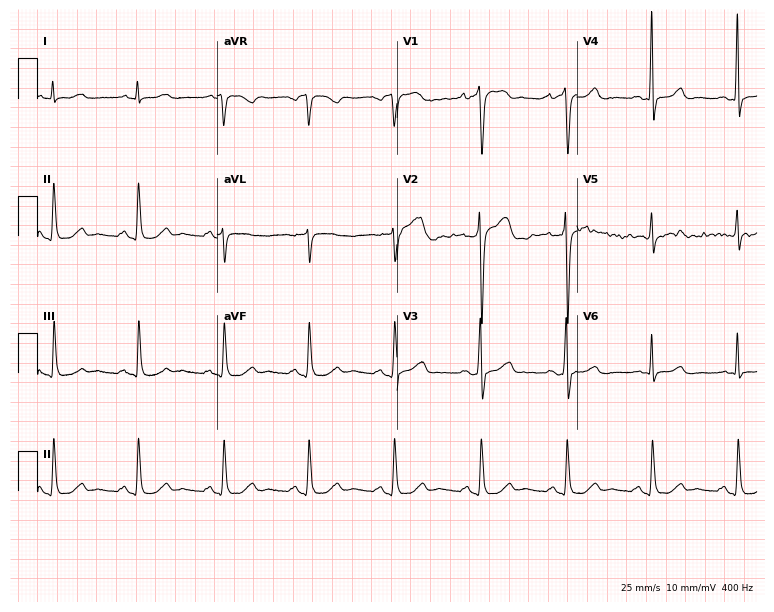
Electrocardiogram, a man, 52 years old. Overall reading on record: normal ECG.